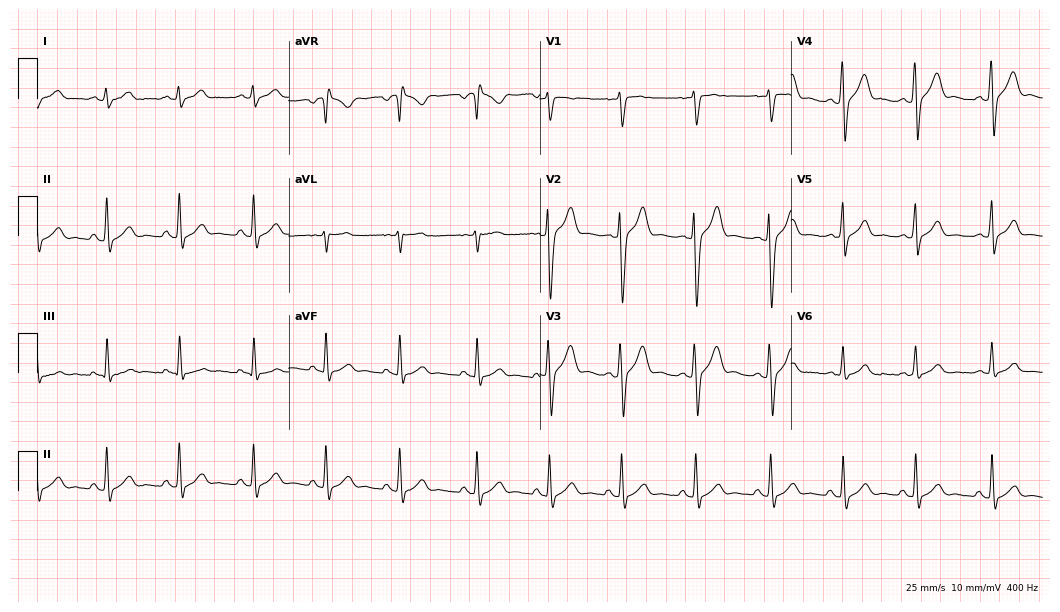
Electrocardiogram, an 18-year-old man. Of the six screened findings (first-degree AV block, right bundle branch block, left bundle branch block, sinus bradycardia, atrial fibrillation, sinus tachycardia), none is recorded.